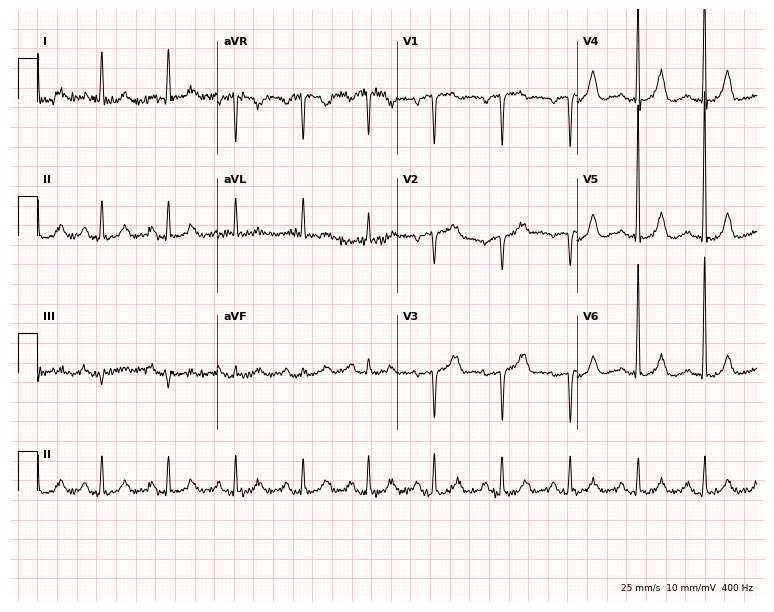
ECG (7.3-second recording at 400 Hz) — a woman, 77 years old. Screened for six findings — first-degree AV block, right bundle branch block, left bundle branch block, sinus bradycardia, atrial fibrillation, sinus tachycardia — none is recorded.